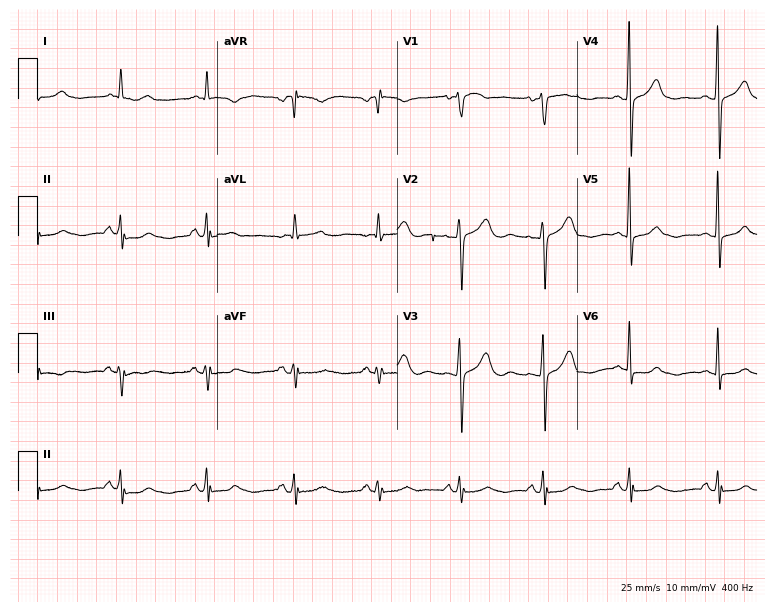
ECG — a female patient, 60 years old. Screened for six findings — first-degree AV block, right bundle branch block (RBBB), left bundle branch block (LBBB), sinus bradycardia, atrial fibrillation (AF), sinus tachycardia — none is recorded. Other findings, if any, are not listed.